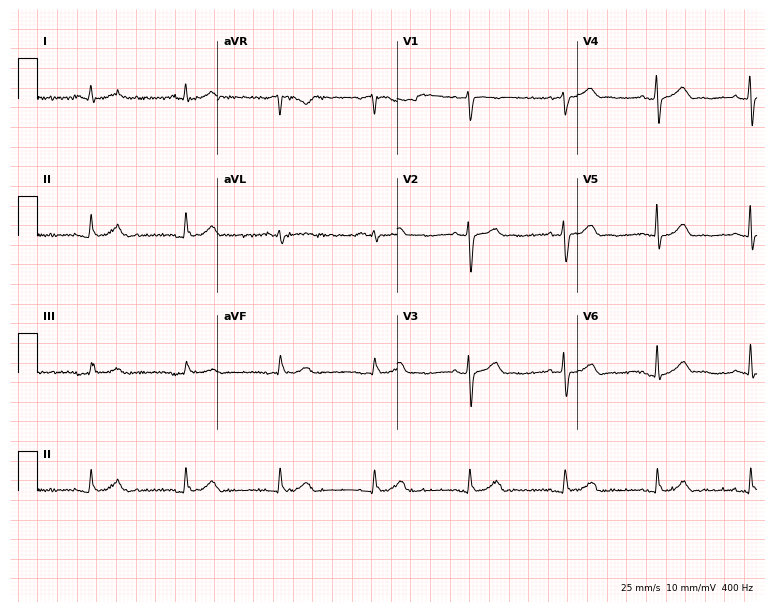
Resting 12-lead electrocardiogram (7.3-second recording at 400 Hz). Patient: a 66-year-old man. Read as a normal ECG.